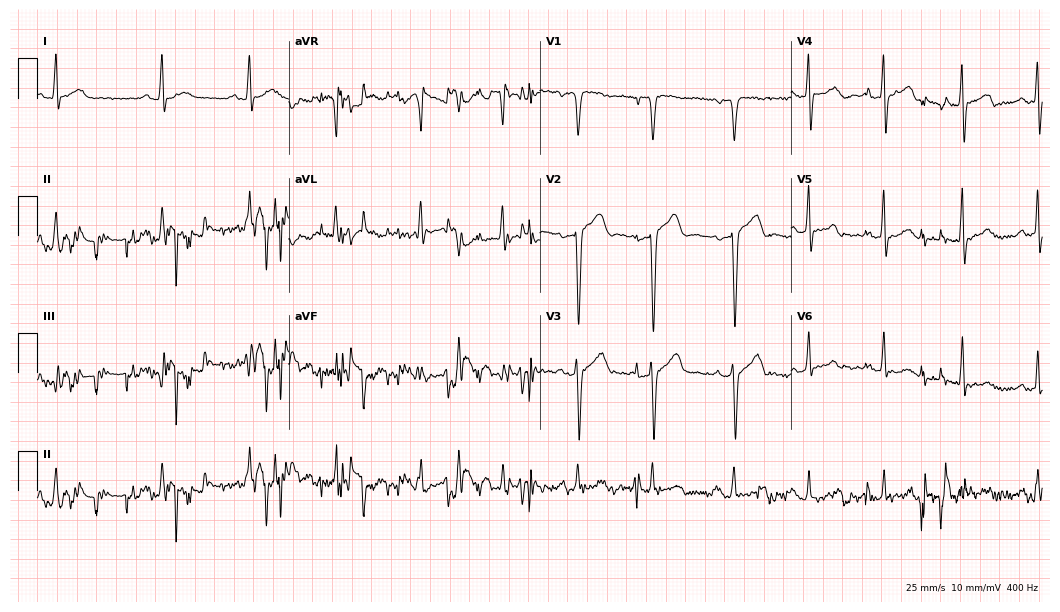
12-lead ECG from a male, 50 years old. No first-degree AV block, right bundle branch block (RBBB), left bundle branch block (LBBB), sinus bradycardia, atrial fibrillation (AF) or sinus tachycardia recorded for this tracing.